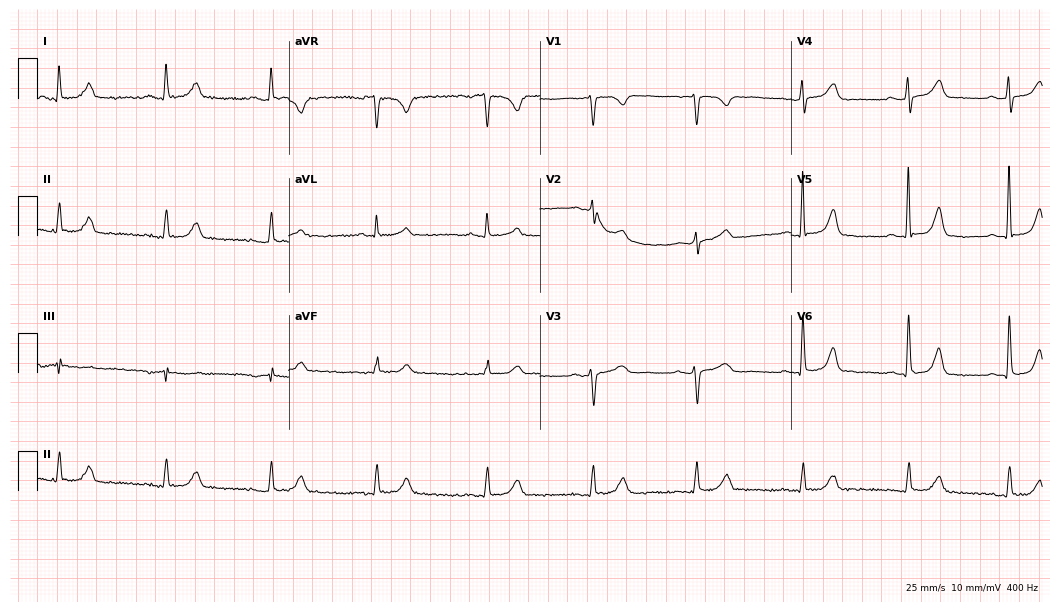
ECG (10.2-second recording at 400 Hz) — a female, 65 years old. Labelled as a normal ECG.